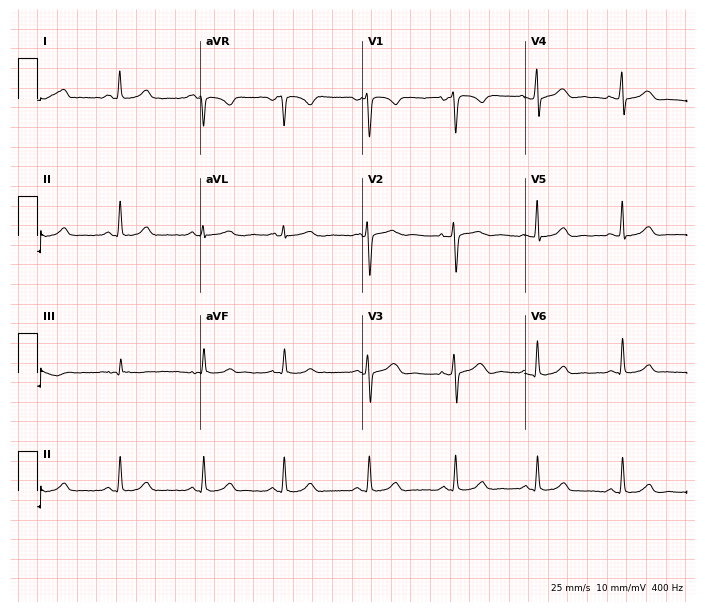
12-lead ECG (6.6-second recording at 400 Hz) from a female patient, 21 years old. Screened for six findings — first-degree AV block, right bundle branch block, left bundle branch block, sinus bradycardia, atrial fibrillation, sinus tachycardia — none is recorded.